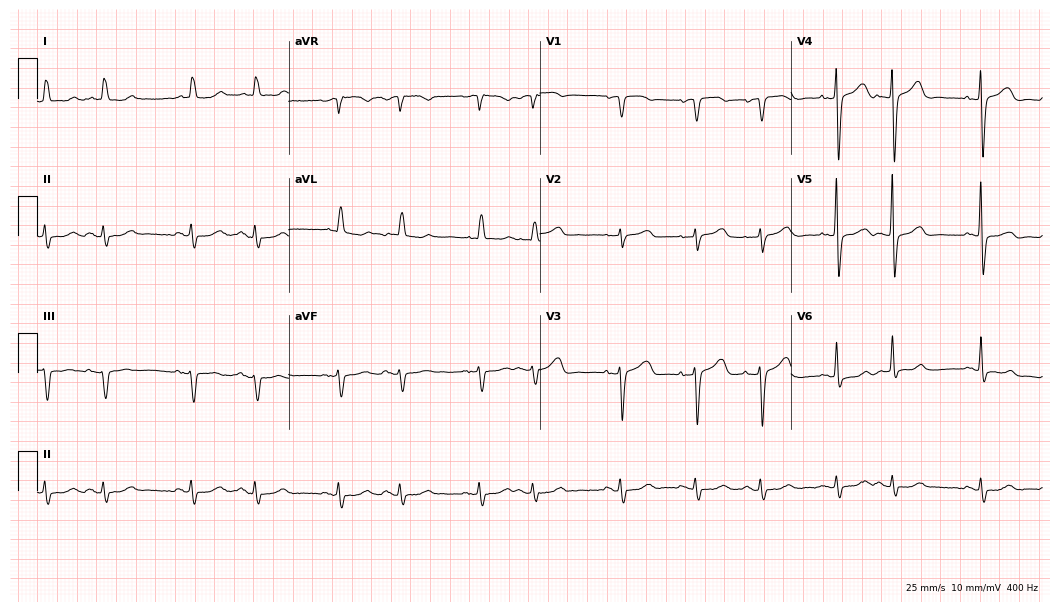
Electrocardiogram, a 77-year-old female. Of the six screened findings (first-degree AV block, right bundle branch block (RBBB), left bundle branch block (LBBB), sinus bradycardia, atrial fibrillation (AF), sinus tachycardia), none is recorded.